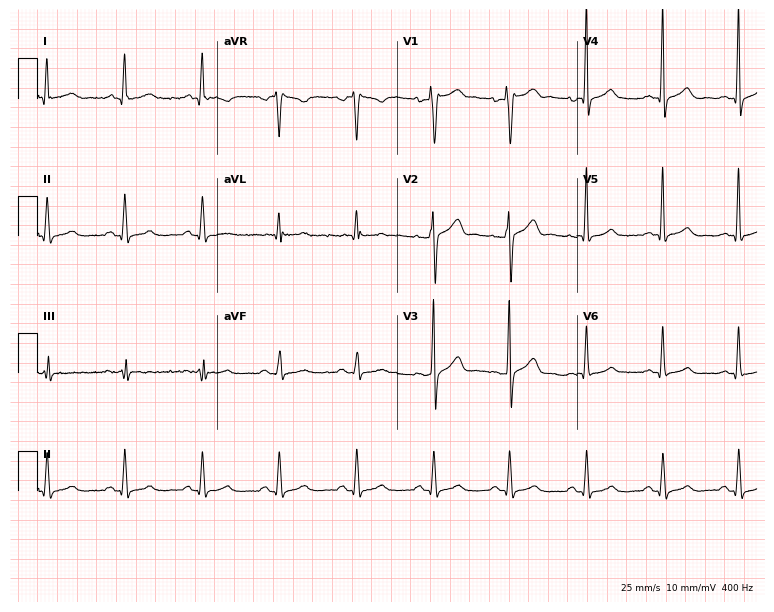
Electrocardiogram, a 36-year-old male. Overall reading on record: normal ECG.